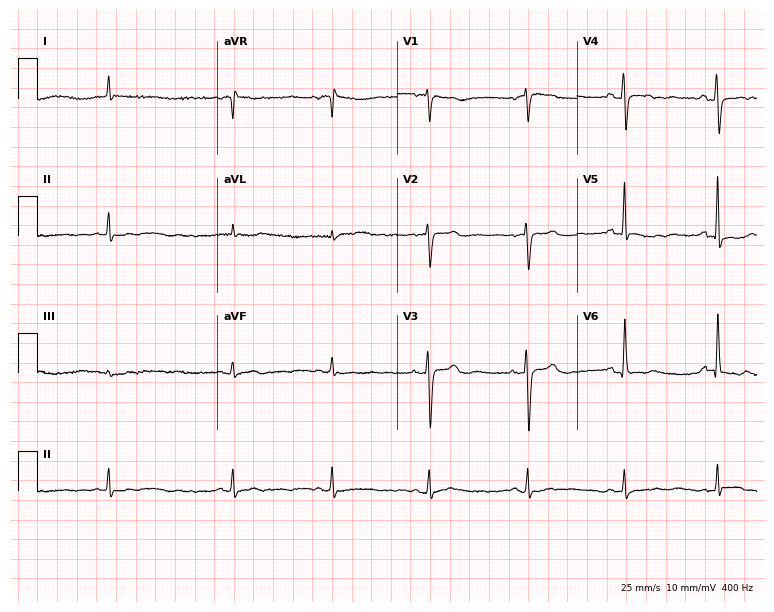
ECG (7.3-second recording at 400 Hz) — a 66-year-old female patient. Screened for six findings — first-degree AV block, right bundle branch block (RBBB), left bundle branch block (LBBB), sinus bradycardia, atrial fibrillation (AF), sinus tachycardia — none is recorded.